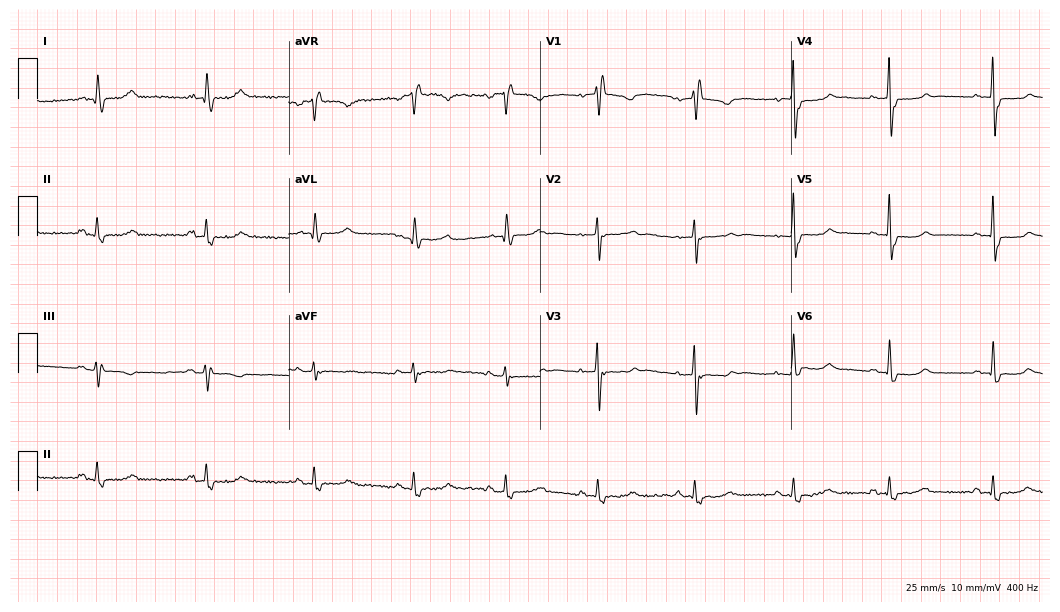
12-lead ECG from a female patient, 69 years old (10.2-second recording at 400 Hz). Shows right bundle branch block (RBBB).